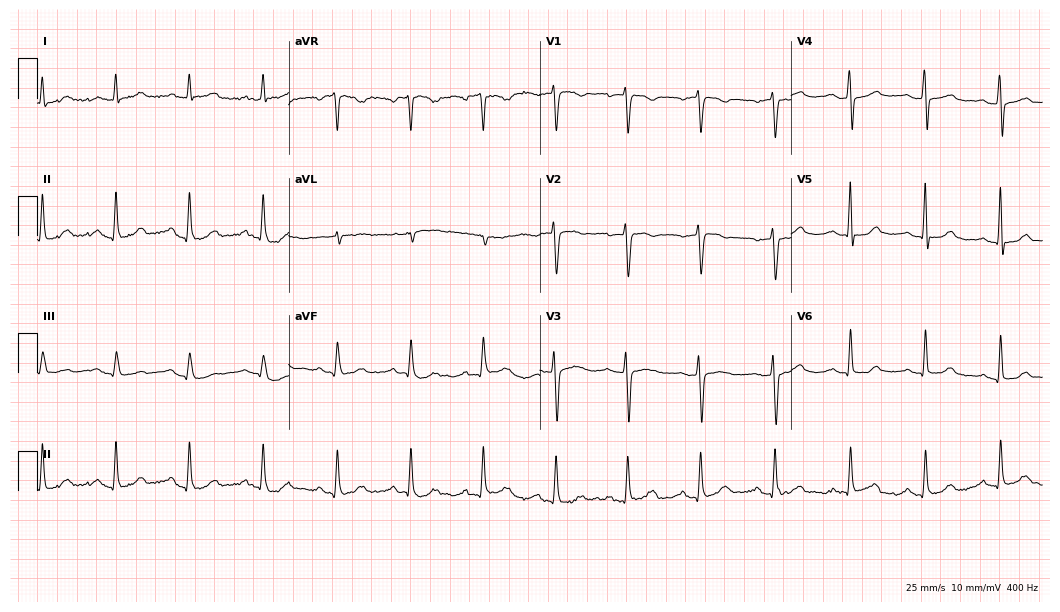
Resting 12-lead electrocardiogram. Patient: a woman, 62 years old. Read as a normal ECG.